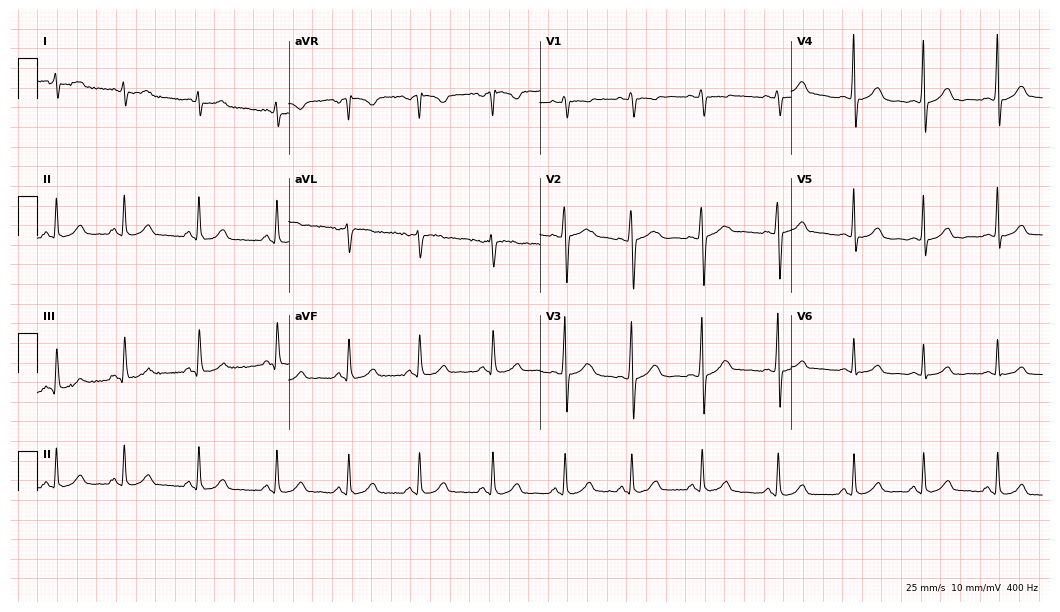
Electrocardiogram (10.2-second recording at 400 Hz), a 26-year-old female patient. Of the six screened findings (first-degree AV block, right bundle branch block, left bundle branch block, sinus bradycardia, atrial fibrillation, sinus tachycardia), none is recorded.